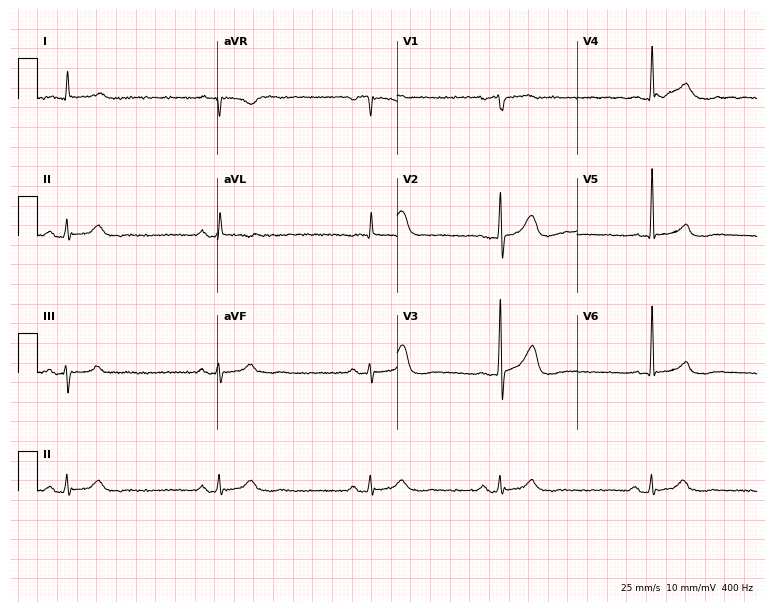
12-lead ECG from a 78-year-old man (7.3-second recording at 400 Hz). Shows sinus bradycardia (a sinus rate of 50 beats per minute or less).